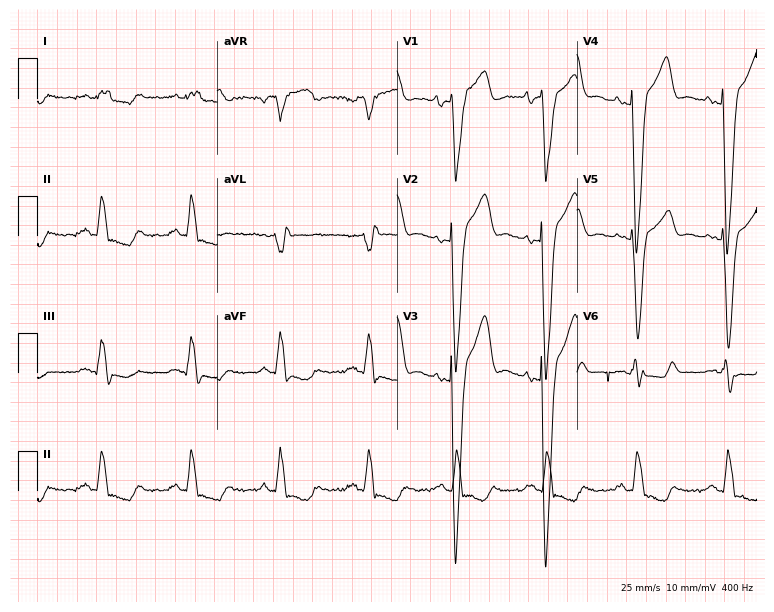
12-lead ECG from a 60-year-old man. Findings include left bundle branch block.